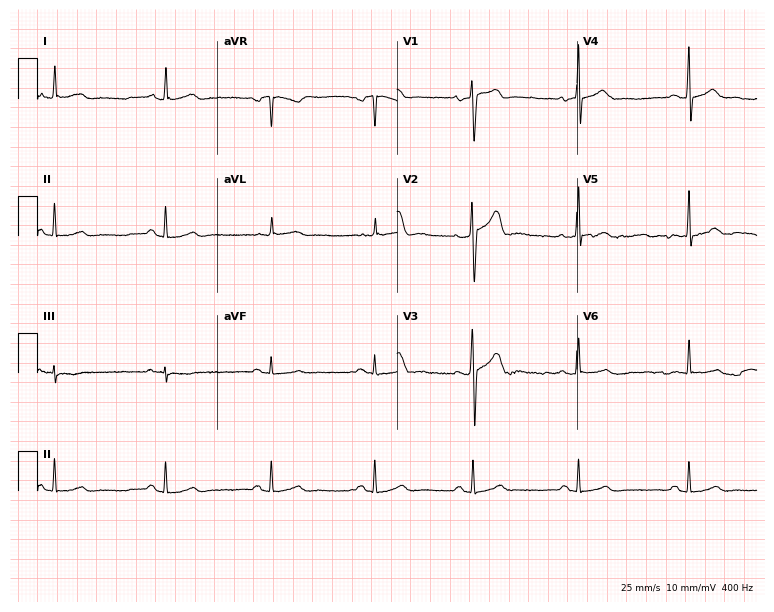
ECG (7.3-second recording at 400 Hz) — a 37-year-old woman. Labelled as a normal ECG.